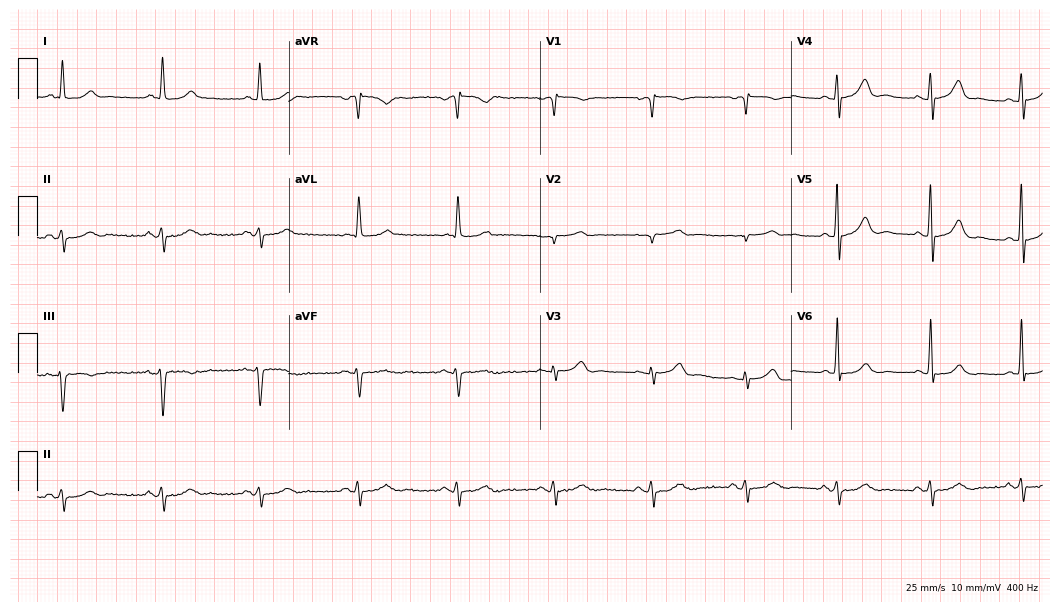
12-lead ECG from a woman, 73 years old (10.2-second recording at 400 Hz). No first-degree AV block, right bundle branch block, left bundle branch block, sinus bradycardia, atrial fibrillation or sinus tachycardia recorded for this tracing. Only these six findings were labelled.